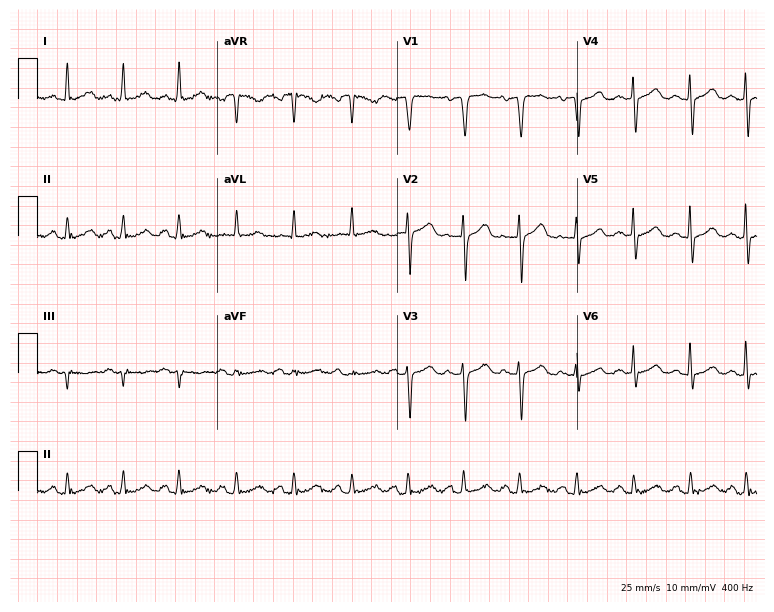
12-lead ECG from a female, 46 years old. Findings include sinus tachycardia (a sinus rate of 100 beats per minute or more).